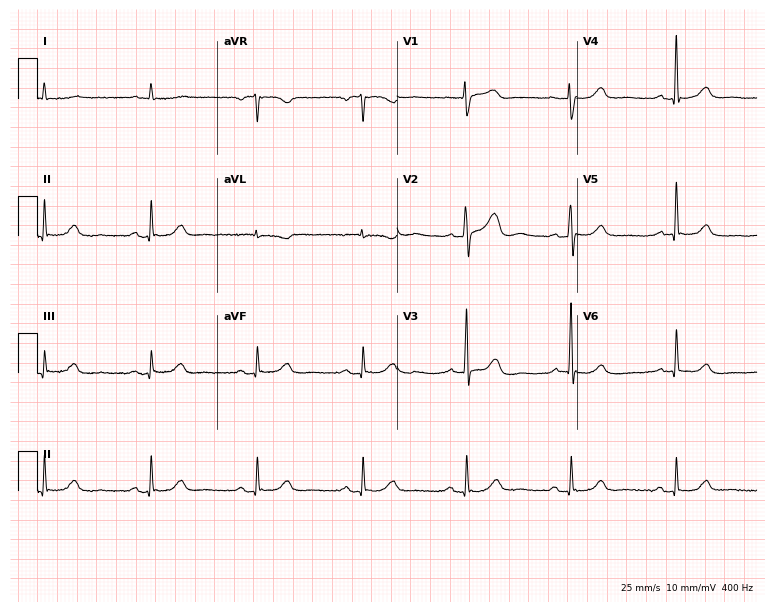
ECG (7.3-second recording at 400 Hz) — a female, 80 years old. Labelled as a normal ECG.